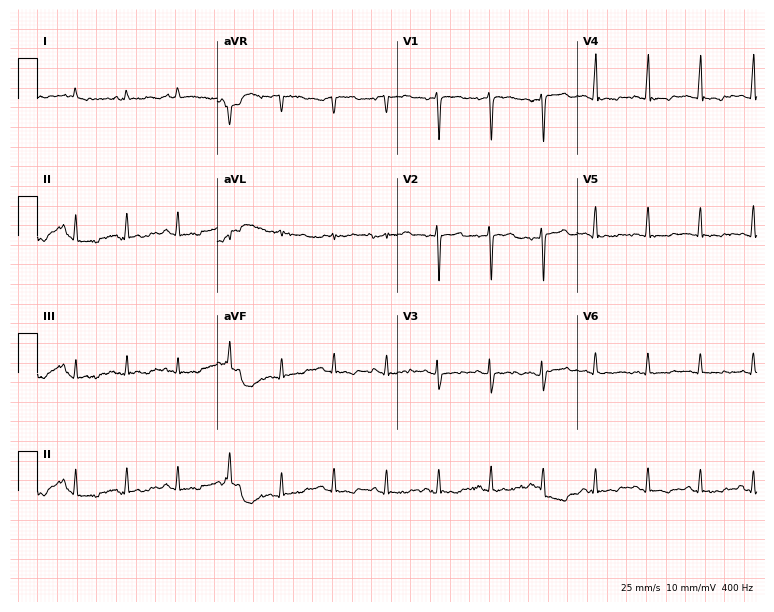
12-lead ECG from a female, 41 years old (7.3-second recording at 400 Hz). No first-degree AV block, right bundle branch block, left bundle branch block, sinus bradycardia, atrial fibrillation or sinus tachycardia recorded for this tracing.